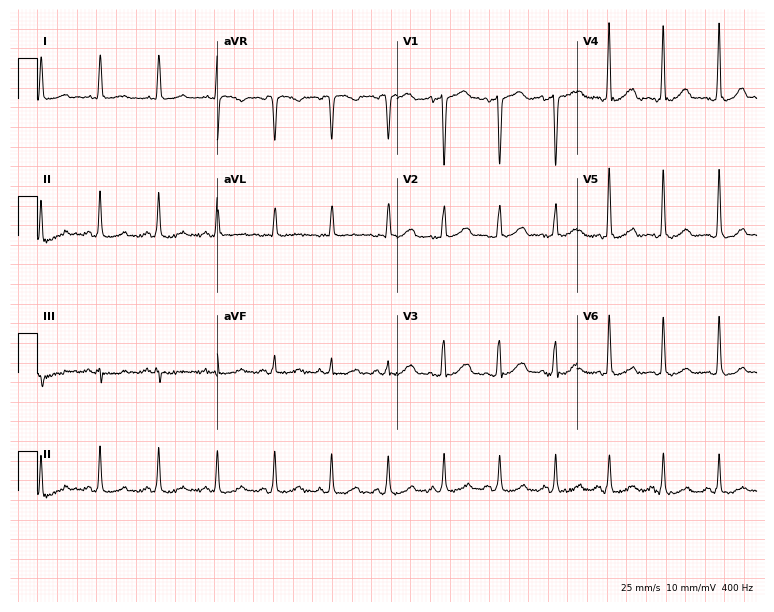
Electrocardiogram, a female patient, 67 years old. Interpretation includes sinus tachycardia (a sinus rate of 100 beats per minute or more).